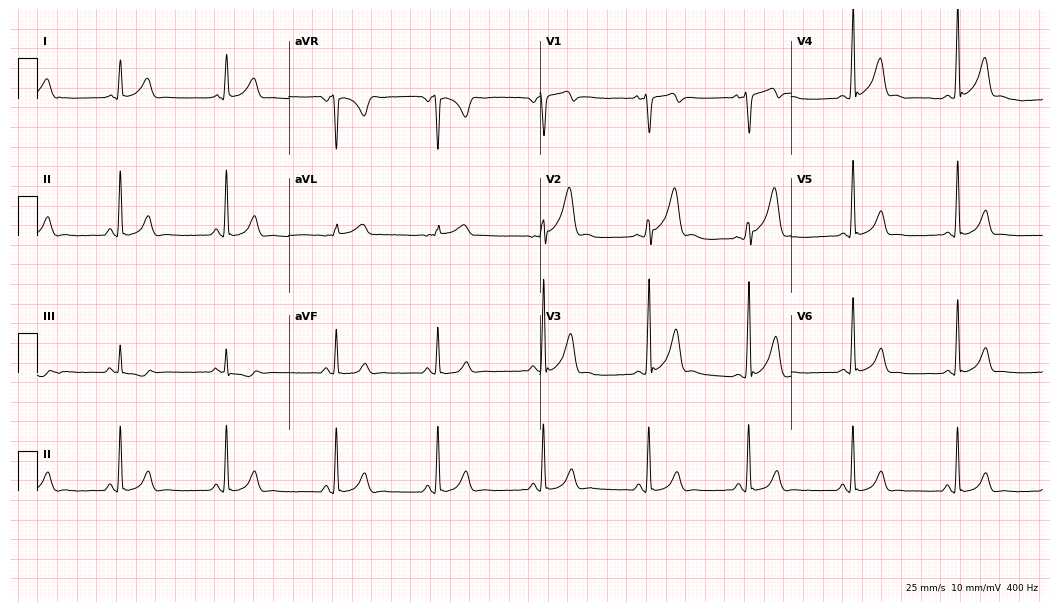
ECG (10.2-second recording at 400 Hz) — a man, 25 years old. Labelled as a normal ECG.